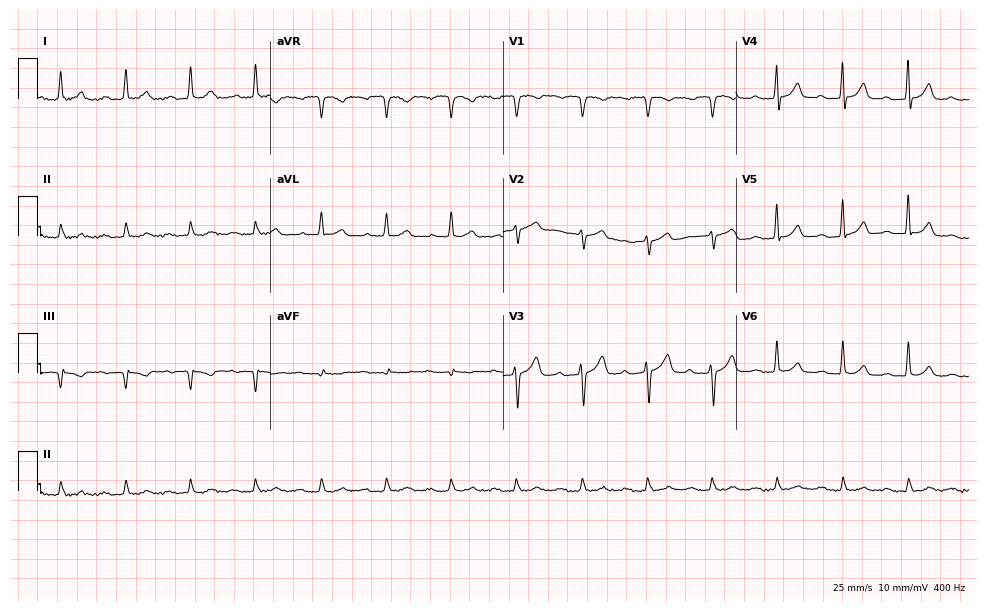
12-lead ECG from a male patient, 61 years old. Screened for six findings — first-degree AV block, right bundle branch block, left bundle branch block, sinus bradycardia, atrial fibrillation, sinus tachycardia — none is recorded. Only these six findings were labelled.